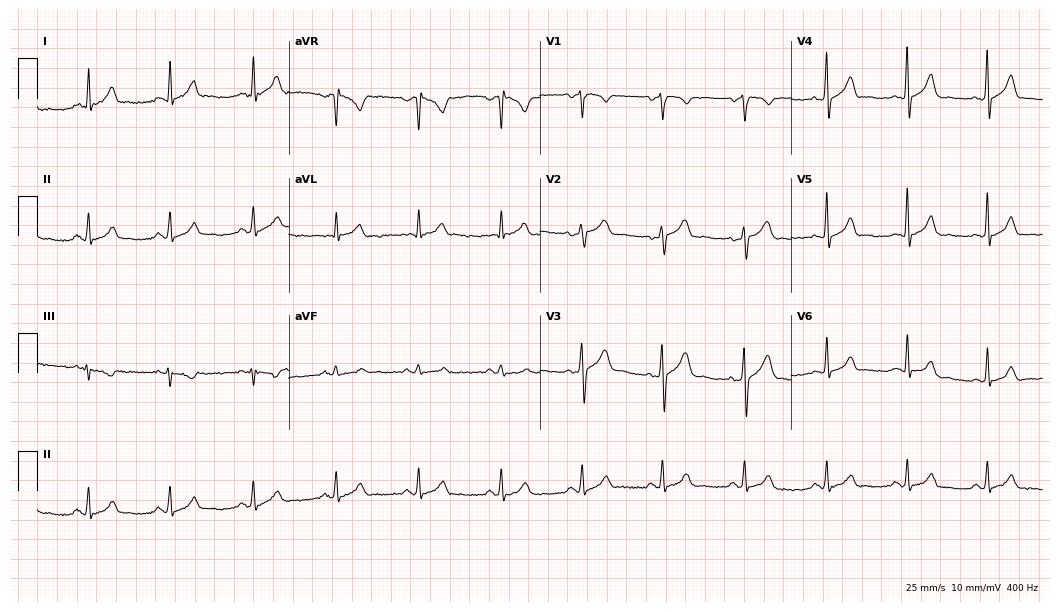
12-lead ECG from a 48-year-old male. Labelled as a normal ECG.